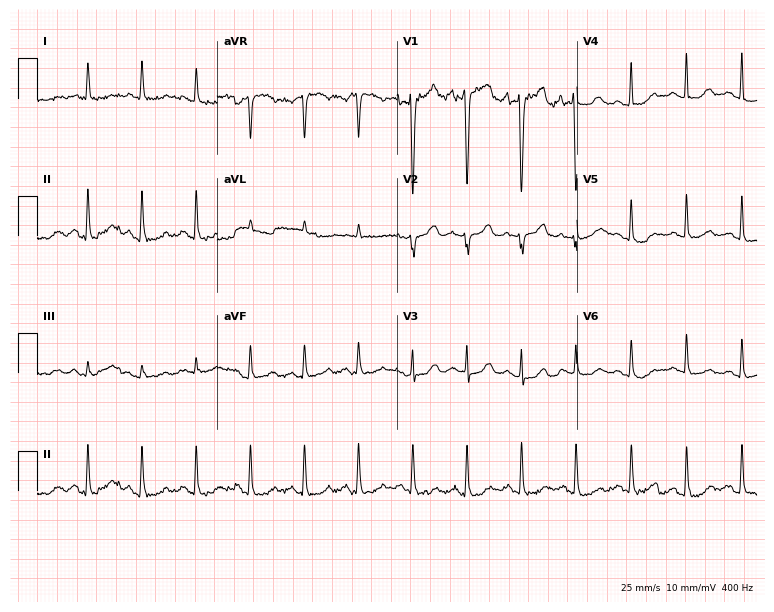
12-lead ECG from a female, 70 years old. Findings include sinus tachycardia (a sinus rate of 100 beats per minute or more).